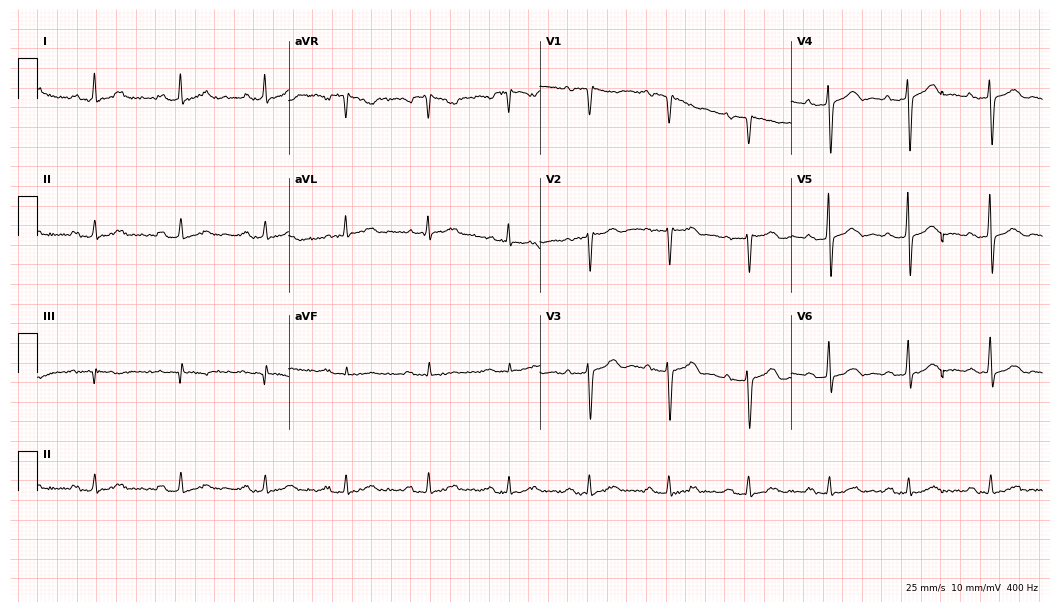
Resting 12-lead electrocardiogram (10.2-second recording at 400 Hz). Patient: a 68-year-old man. Read as a normal ECG.